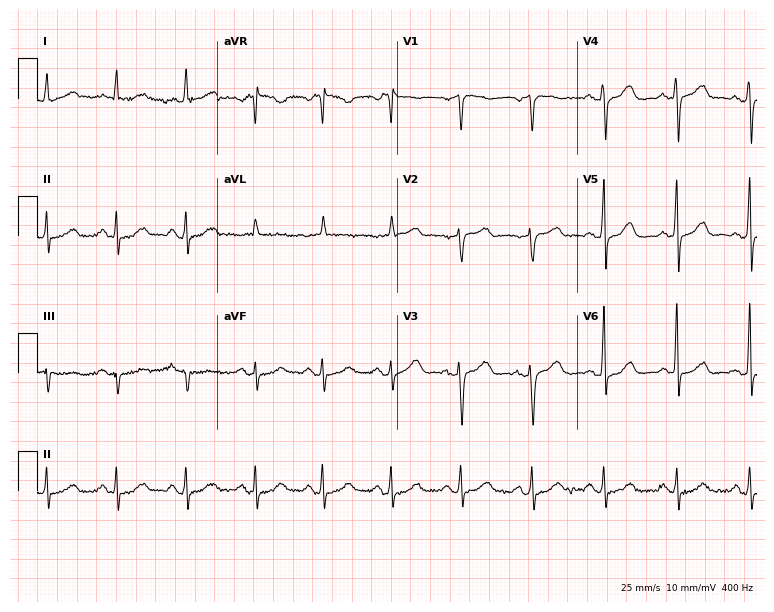
ECG — a female patient, 70 years old. Labelled as a normal ECG.